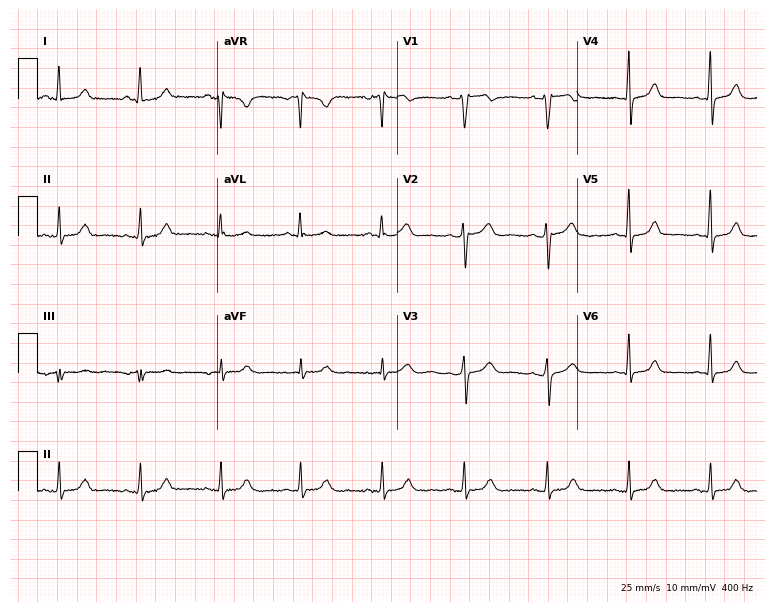
Standard 12-lead ECG recorded from a 55-year-old woman. None of these six findings is recorded: first-degree AV block, right bundle branch block, left bundle branch block, sinus bradycardia, atrial fibrillation, sinus tachycardia.